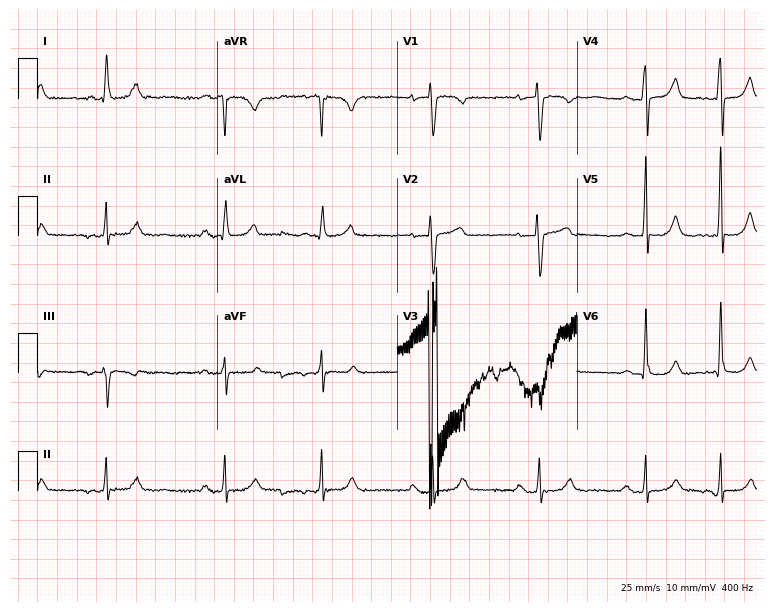
12-lead ECG from a female patient, 76 years old. No first-degree AV block, right bundle branch block, left bundle branch block, sinus bradycardia, atrial fibrillation or sinus tachycardia recorded for this tracing. Other findings, if any, are not listed.